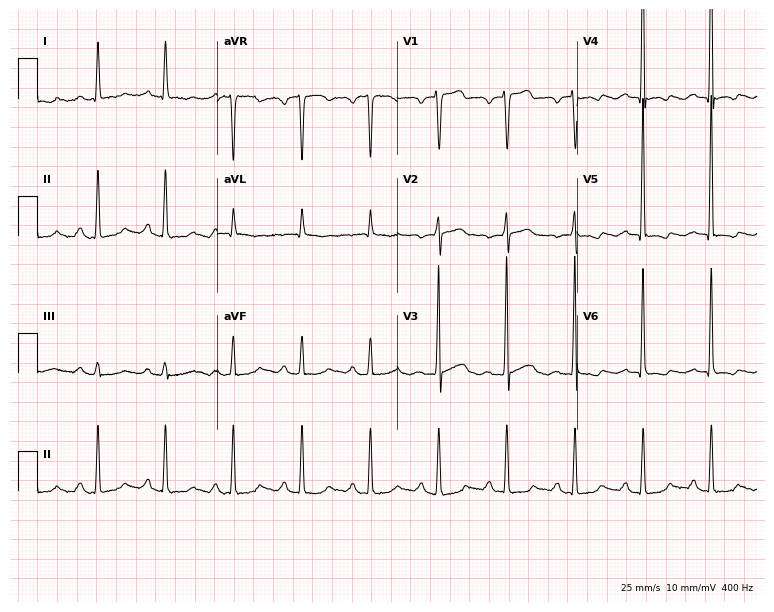
ECG (7.3-second recording at 400 Hz) — a 71-year-old male patient. Screened for six findings — first-degree AV block, right bundle branch block (RBBB), left bundle branch block (LBBB), sinus bradycardia, atrial fibrillation (AF), sinus tachycardia — none is recorded.